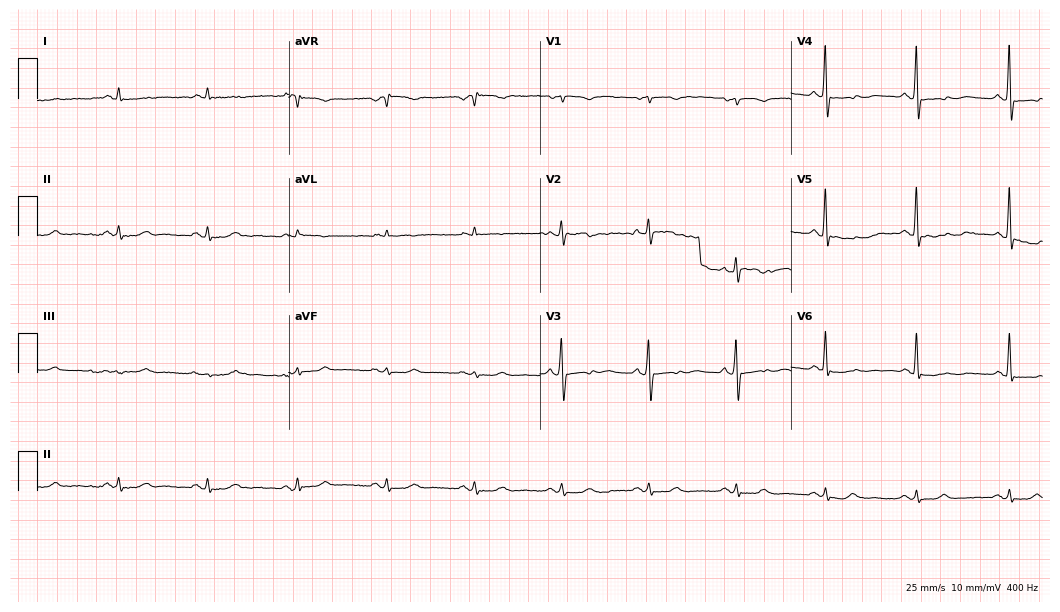
Electrocardiogram (10.2-second recording at 400 Hz), an 80-year-old male patient. Of the six screened findings (first-degree AV block, right bundle branch block, left bundle branch block, sinus bradycardia, atrial fibrillation, sinus tachycardia), none is recorded. Findings outside these six are not listed.